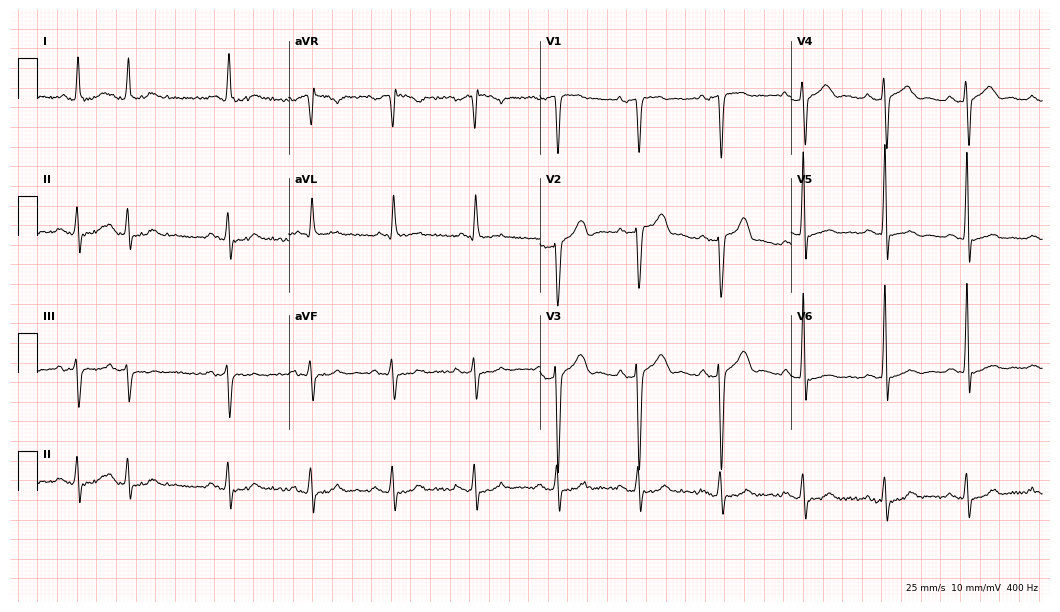
12-lead ECG from a 74-year-old male. No first-degree AV block, right bundle branch block, left bundle branch block, sinus bradycardia, atrial fibrillation or sinus tachycardia recorded for this tracing. Only these six findings were labelled.